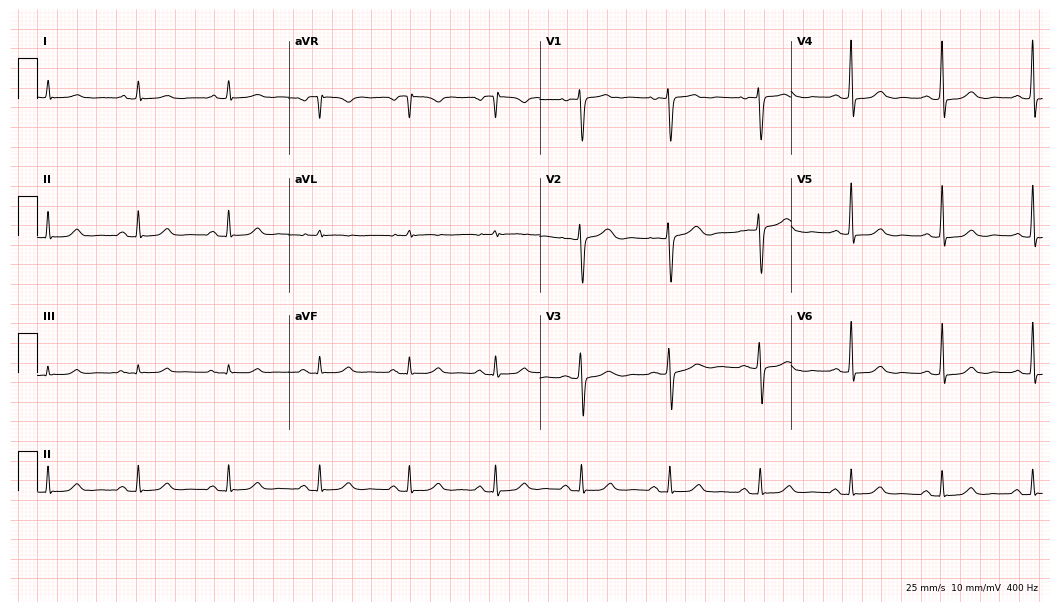
ECG — a female, 52 years old. Labelled as a normal ECG.